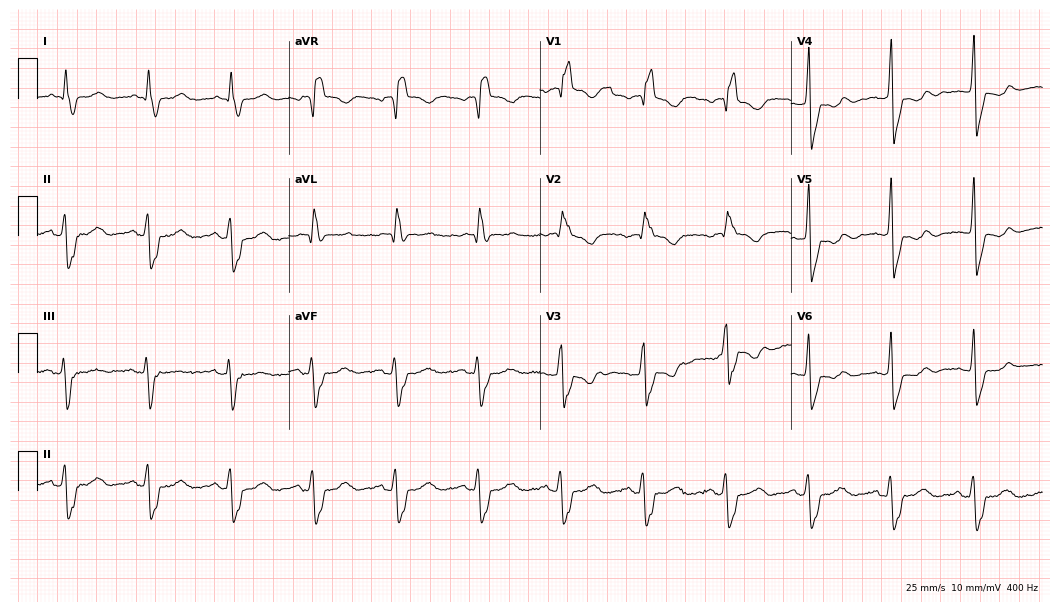
Resting 12-lead electrocardiogram (10.2-second recording at 400 Hz). Patient: a 54-year-old male. The tracing shows right bundle branch block.